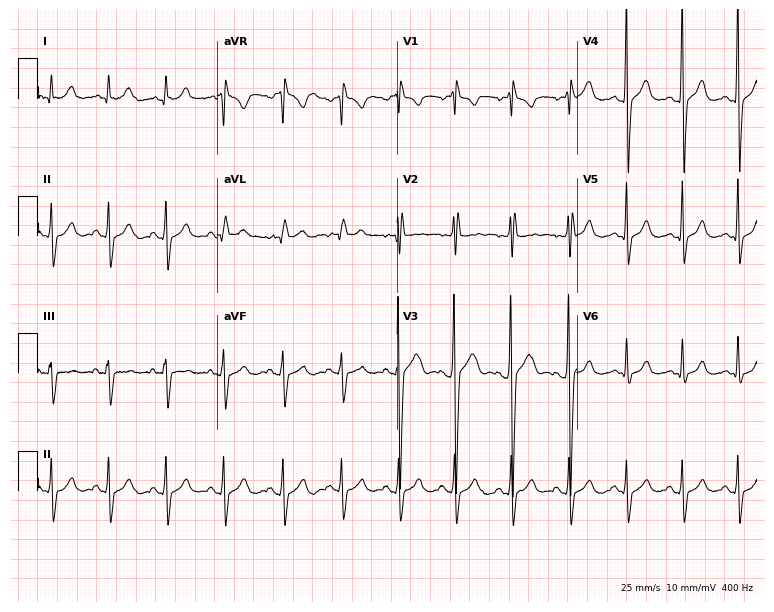
12-lead ECG from a man, 18 years old. Screened for six findings — first-degree AV block, right bundle branch block (RBBB), left bundle branch block (LBBB), sinus bradycardia, atrial fibrillation (AF), sinus tachycardia — none is recorded. Findings outside these six are not listed.